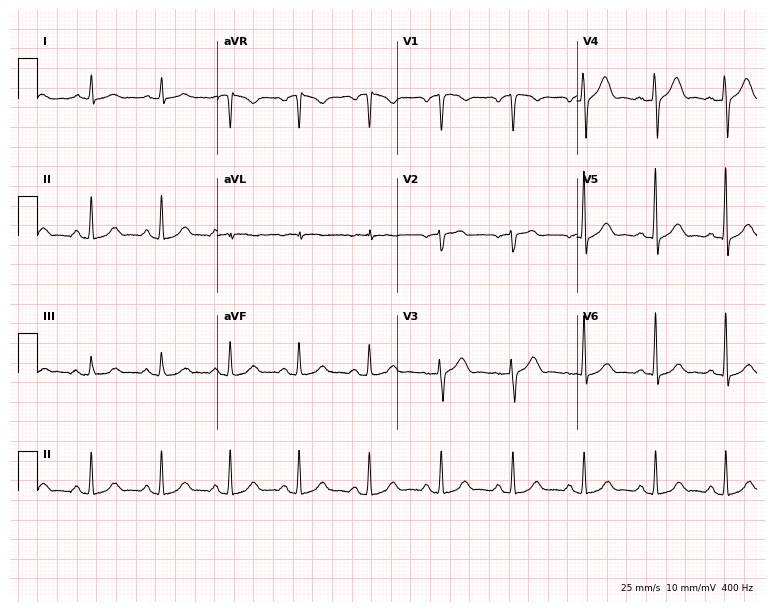
12-lead ECG from a man, 56 years old. Labelled as a normal ECG.